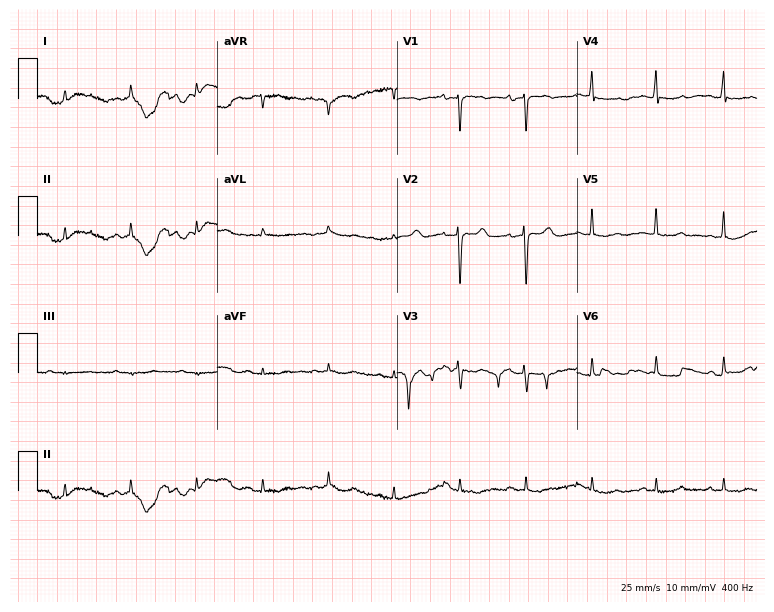
12-lead ECG (7.3-second recording at 400 Hz) from a female, 78 years old. Screened for six findings — first-degree AV block, right bundle branch block, left bundle branch block, sinus bradycardia, atrial fibrillation, sinus tachycardia — none is recorded.